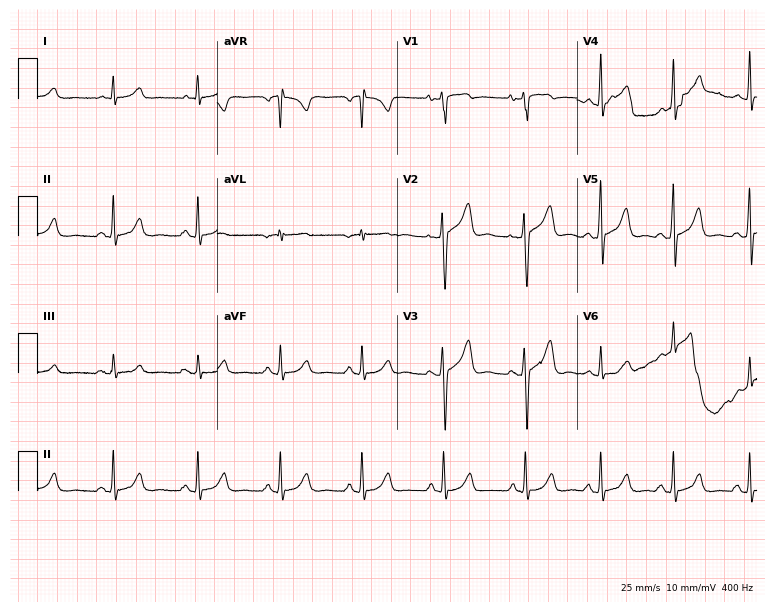
Electrocardiogram, a 44-year-old female. Overall reading on record: normal ECG.